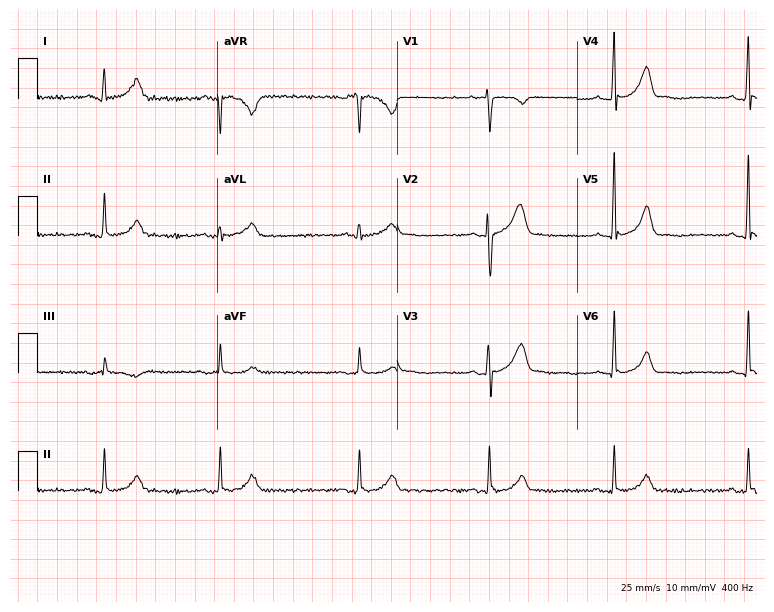
Standard 12-lead ECG recorded from a male, 24 years old (7.3-second recording at 400 Hz). None of these six findings is recorded: first-degree AV block, right bundle branch block, left bundle branch block, sinus bradycardia, atrial fibrillation, sinus tachycardia. Other findings, if any, are not listed.